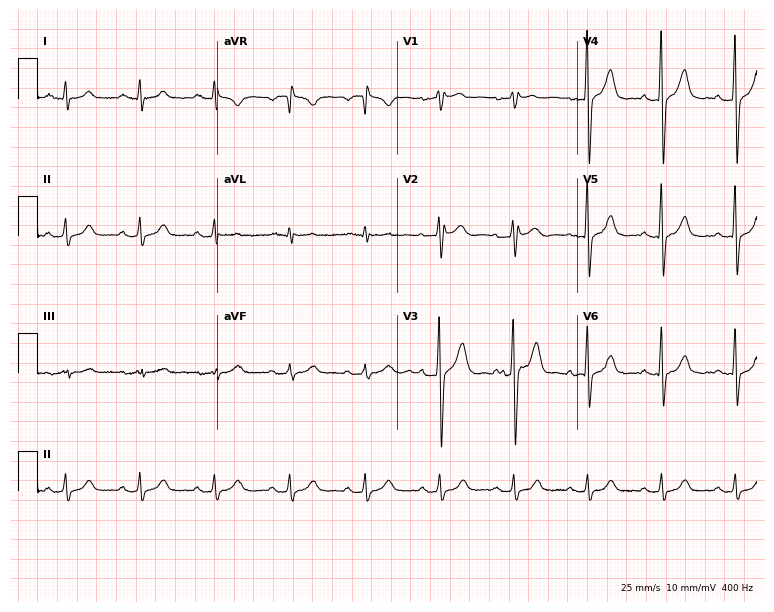
Electrocardiogram, a 57-year-old male. Overall reading on record: normal ECG.